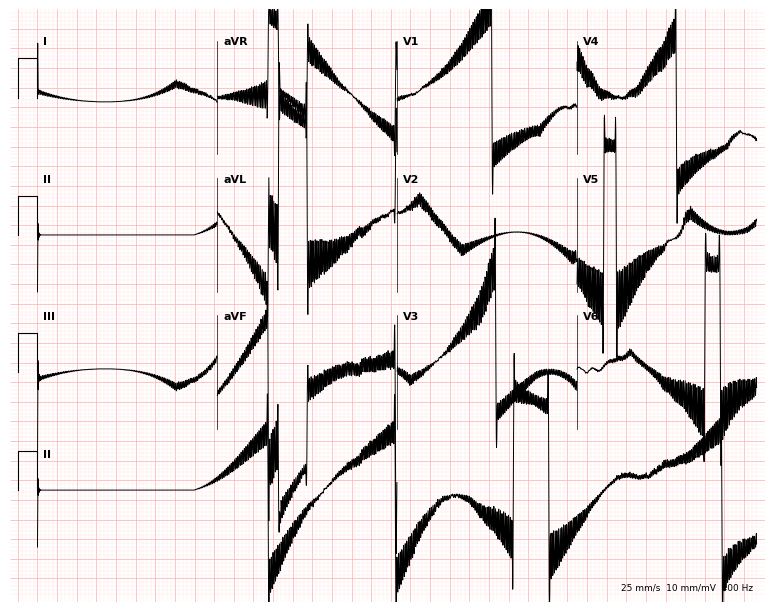
12-lead ECG from a 62-year-old man (7.3-second recording at 400 Hz). No first-degree AV block, right bundle branch block, left bundle branch block, sinus bradycardia, atrial fibrillation or sinus tachycardia recorded for this tracing.